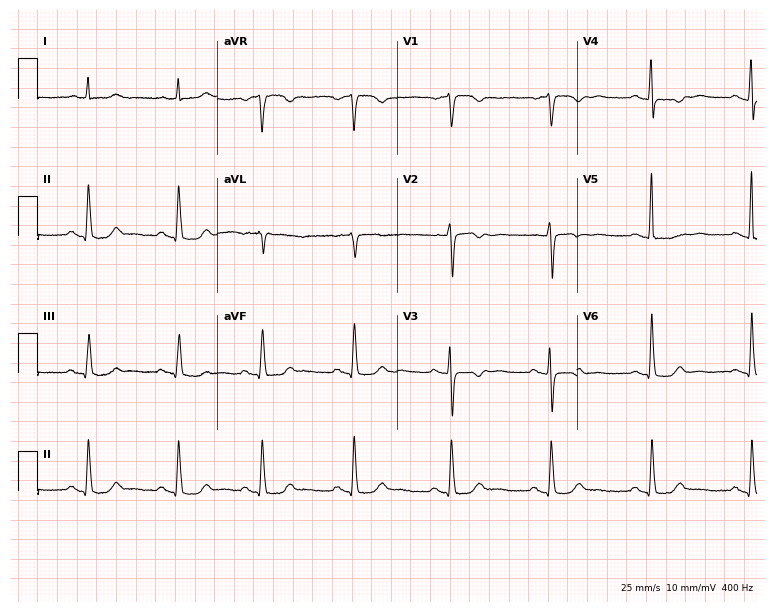
Standard 12-lead ECG recorded from a woman, 76 years old. None of these six findings is recorded: first-degree AV block, right bundle branch block, left bundle branch block, sinus bradycardia, atrial fibrillation, sinus tachycardia. Only these six findings were labelled.